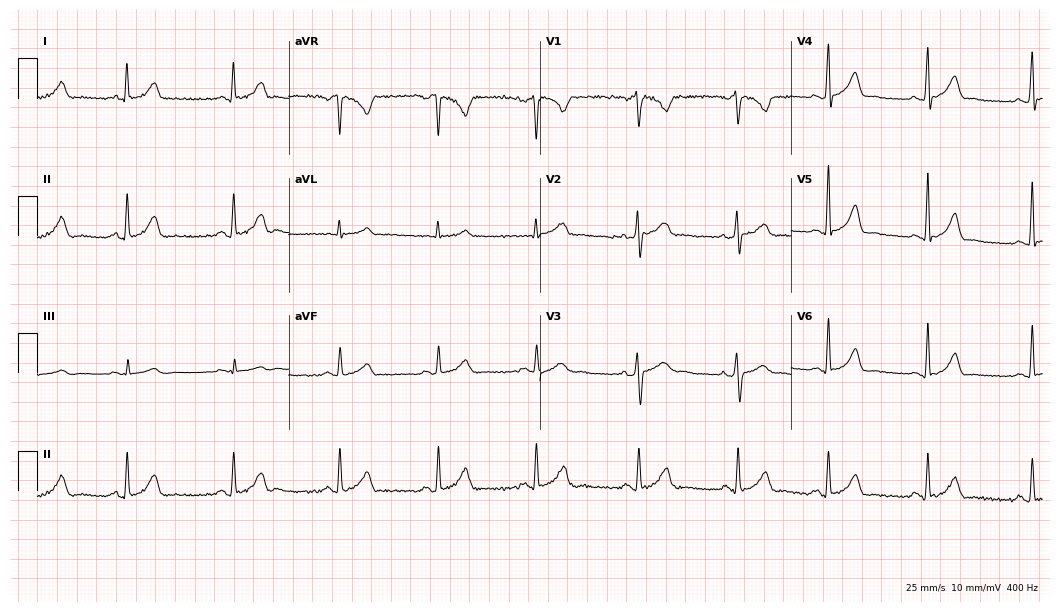
12-lead ECG from a 39-year-old woman. No first-degree AV block, right bundle branch block (RBBB), left bundle branch block (LBBB), sinus bradycardia, atrial fibrillation (AF) or sinus tachycardia recorded for this tracing. Only these six findings were labelled.